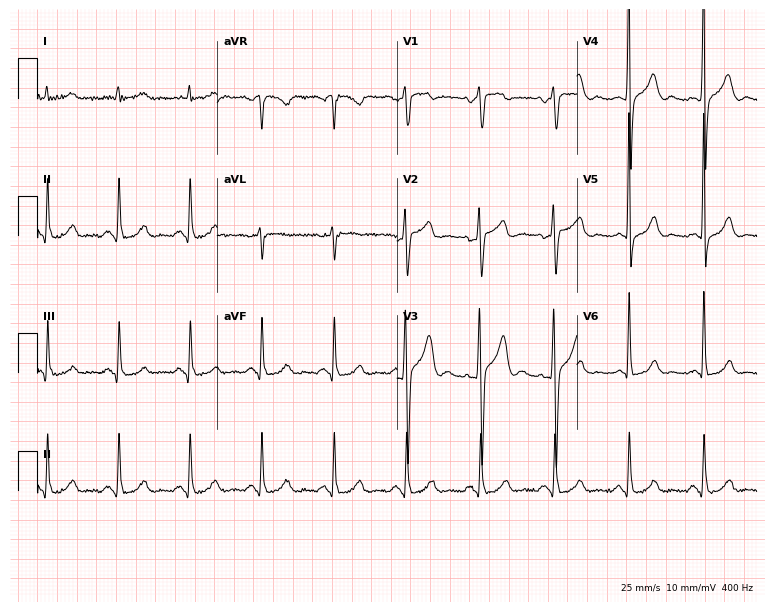
ECG (7.3-second recording at 400 Hz) — a 52-year-old man. Labelled as a normal ECG.